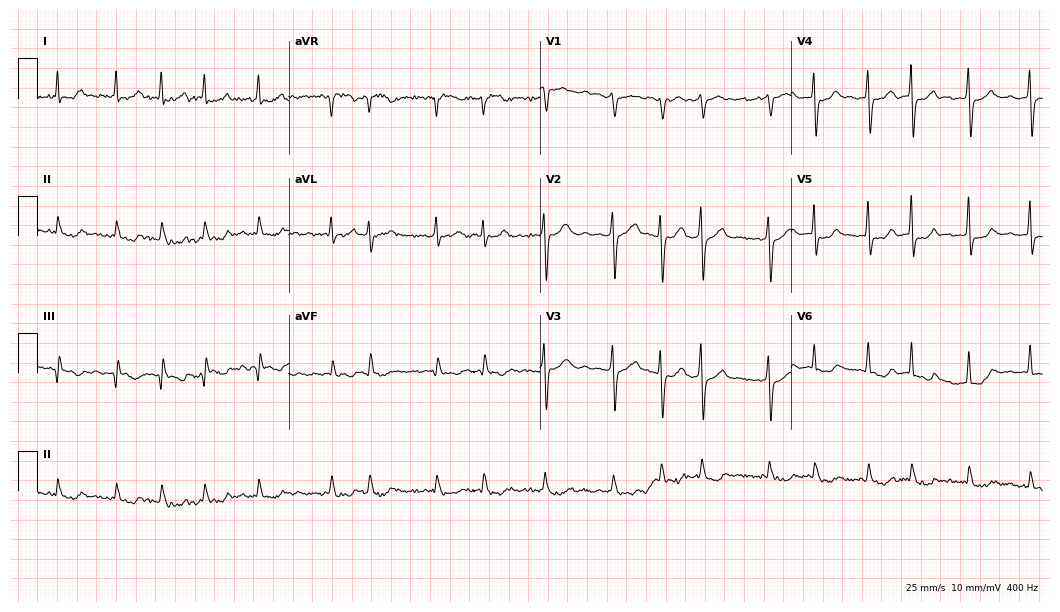
Standard 12-lead ECG recorded from a female patient, 60 years old. The tracing shows atrial fibrillation (AF).